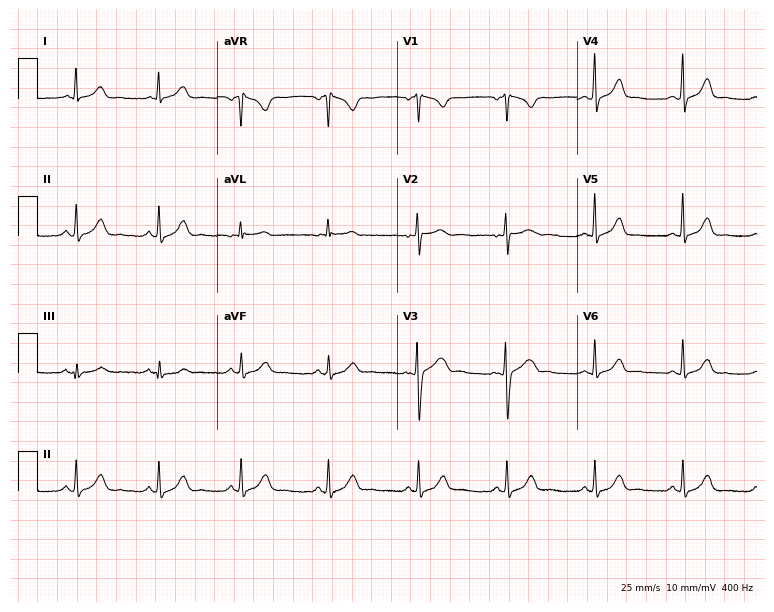
Resting 12-lead electrocardiogram. Patient: a 22-year-old woman. Read as a normal ECG.